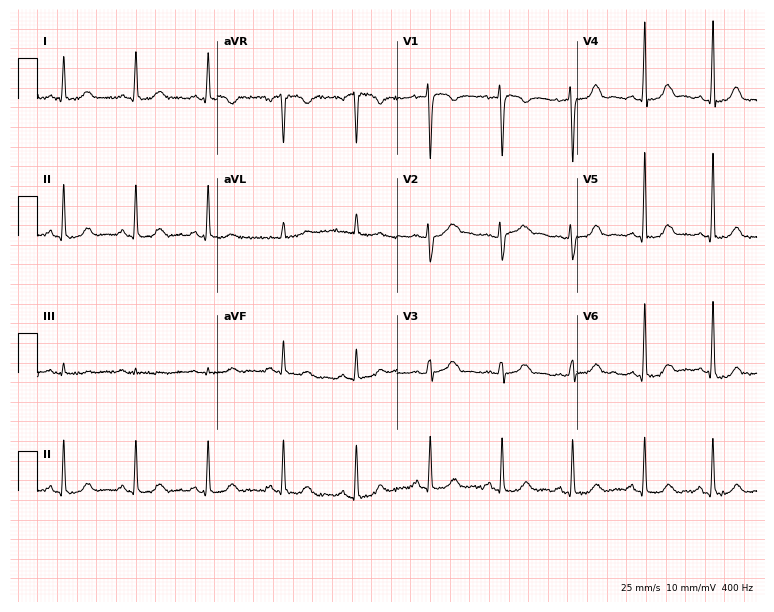
Resting 12-lead electrocardiogram (7.3-second recording at 400 Hz). Patient: a female, 51 years old. None of these six findings is recorded: first-degree AV block, right bundle branch block, left bundle branch block, sinus bradycardia, atrial fibrillation, sinus tachycardia.